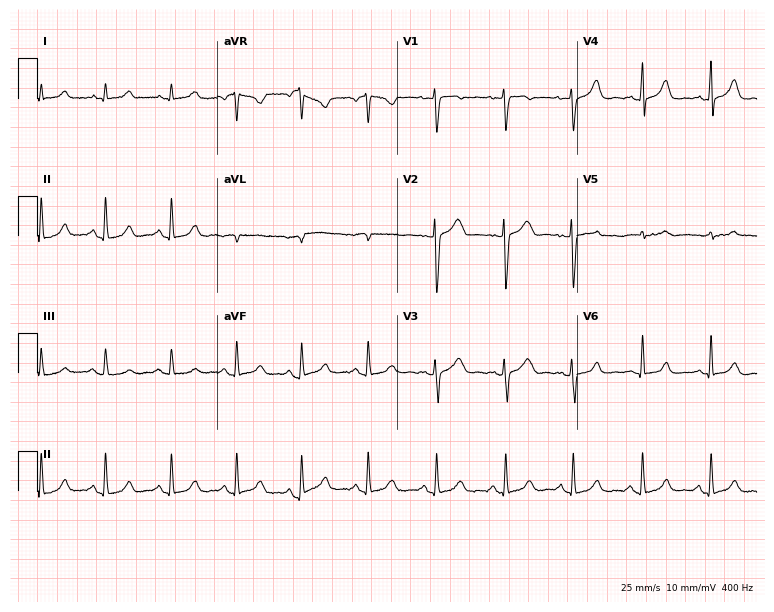
Electrocardiogram (7.3-second recording at 400 Hz), a female, 39 years old. Overall reading on record: normal ECG.